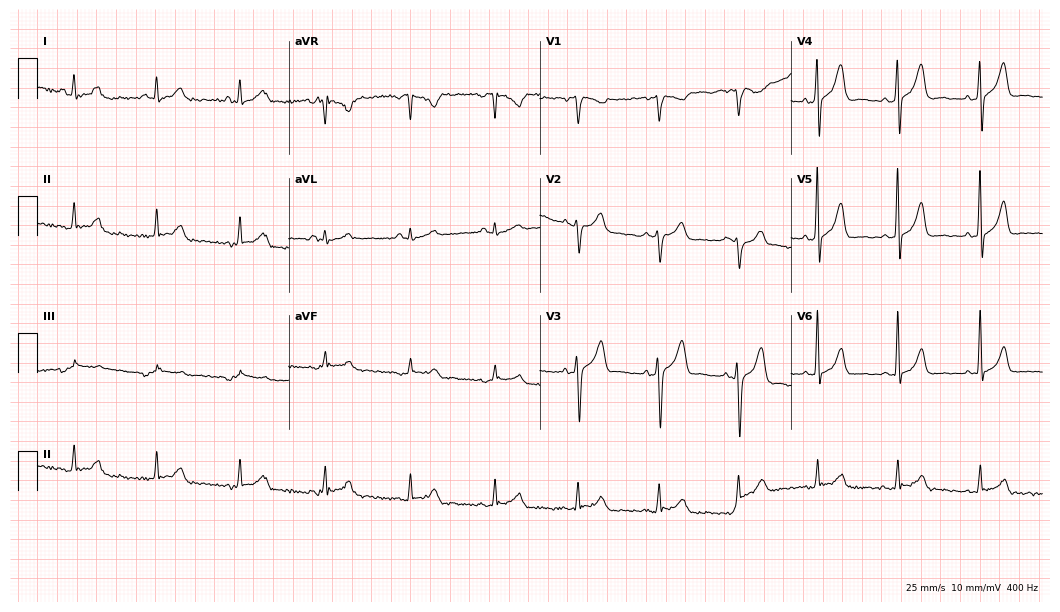
12-lead ECG from a 57-year-old man (10.2-second recording at 400 Hz). No first-degree AV block, right bundle branch block, left bundle branch block, sinus bradycardia, atrial fibrillation or sinus tachycardia recorded for this tracing. Only these six findings were labelled.